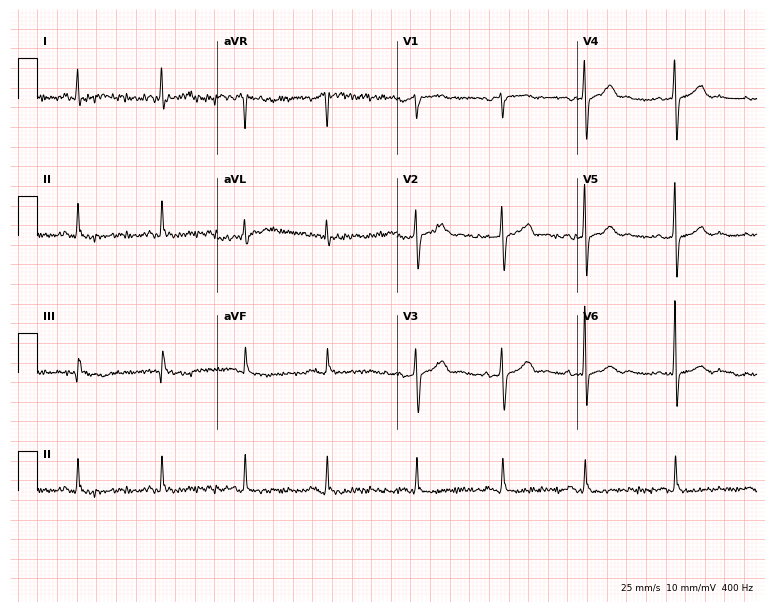
Standard 12-lead ECG recorded from a 64-year-old male patient (7.3-second recording at 400 Hz). None of these six findings is recorded: first-degree AV block, right bundle branch block, left bundle branch block, sinus bradycardia, atrial fibrillation, sinus tachycardia.